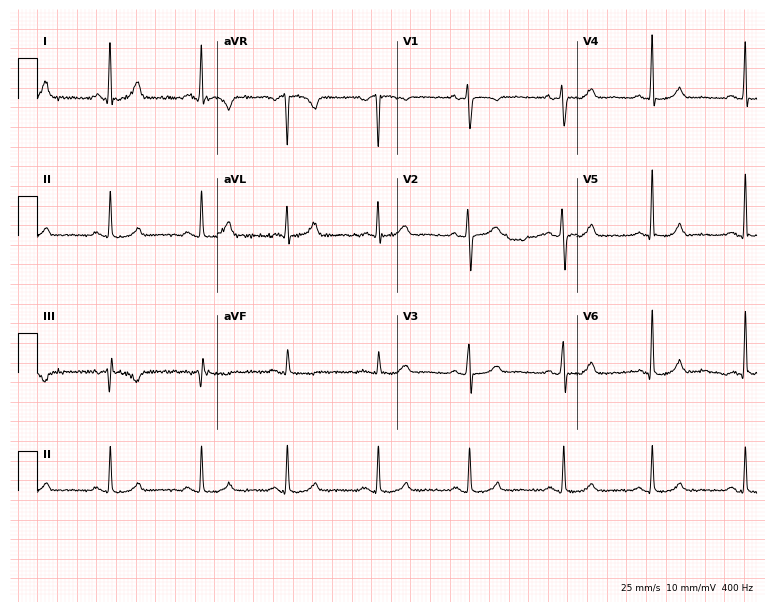
Standard 12-lead ECG recorded from a woman, 42 years old (7.3-second recording at 400 Hz). Read as a normal ECG.